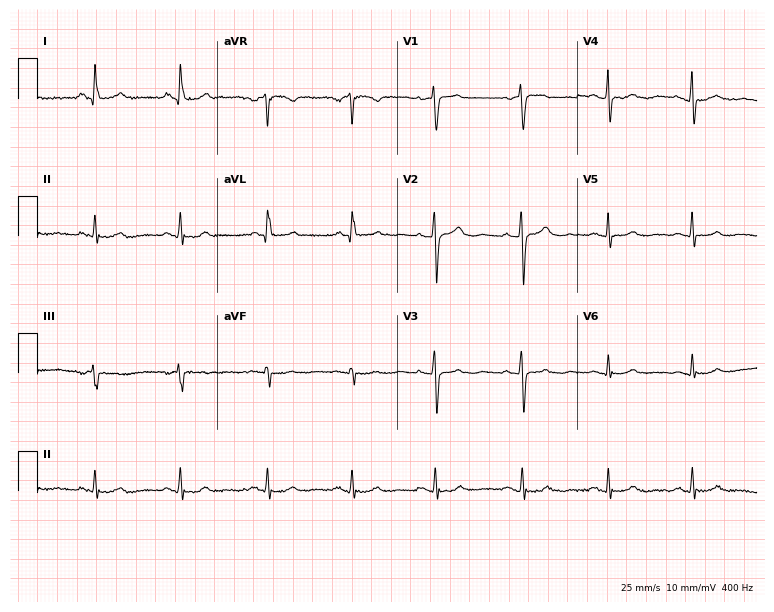
Electrocardiogram, a female patient, 60 years old. Overall reading on record: normal ECG.